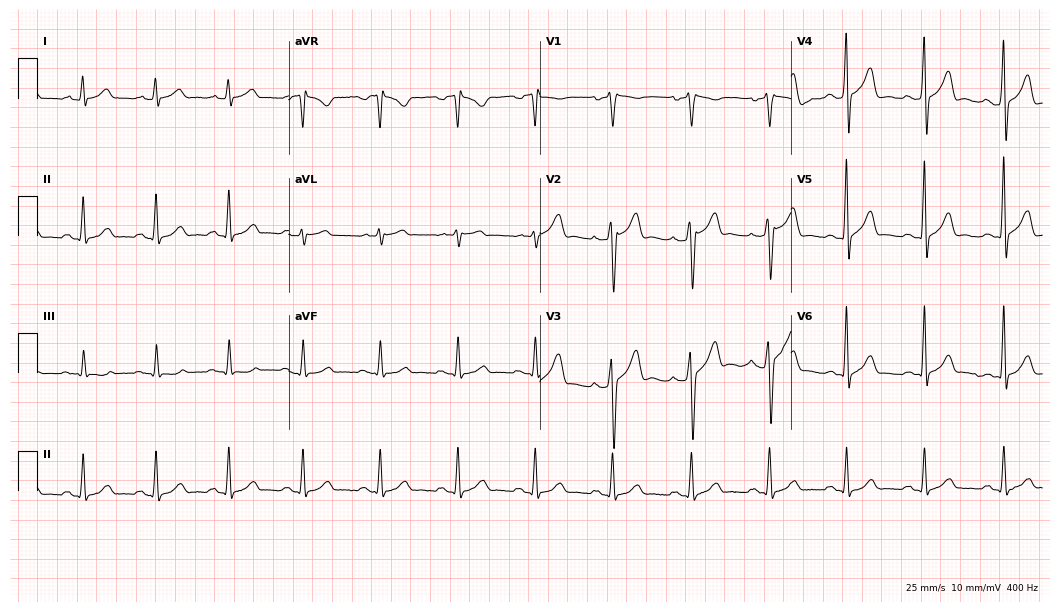
Standard 12-lead ECG recorded from a 53-year-old man (10.2-second recording at 400 Hz). None of these six findings is recorded: first-degree AV block, right bundle branch block, left bundle branch block, sinus bradycardia, atrial fibrillation, sinus tachycardia. Only these six findings were labelled.